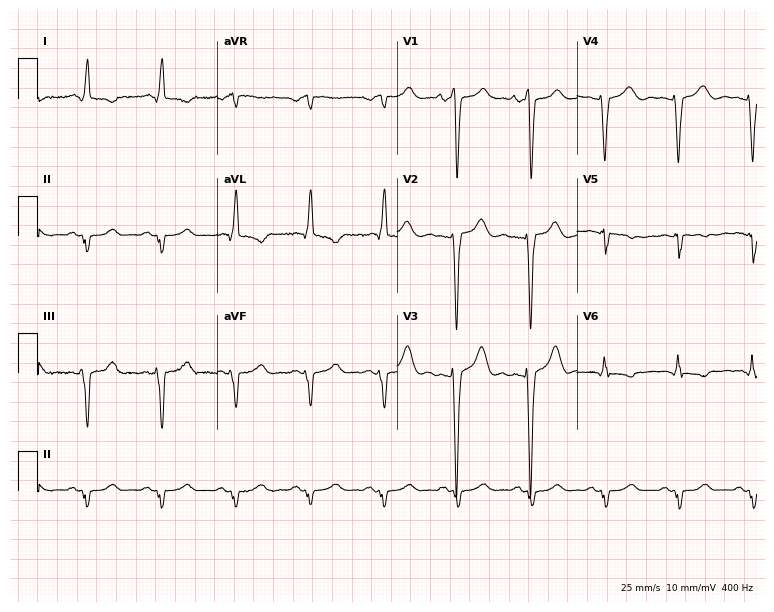
12-lead ECG from a female patient, 81 years old. No first-degree AV block, right bundle branch block (RBBB), left bundle branch block (LBBB), sinus bradycardia, atrial fibrillation (AF) or sinus tachycardia recorded for this tracing.